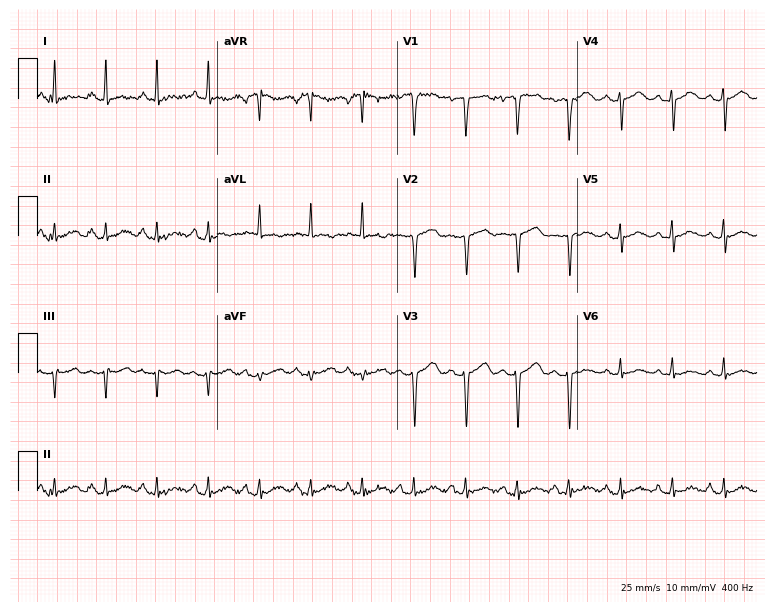
ECG (7.3-second recording at 400 Hz) — a 49-year-old woman. Findings include sinus tachycardia (a sinus rate of 100 beats per minute or more).